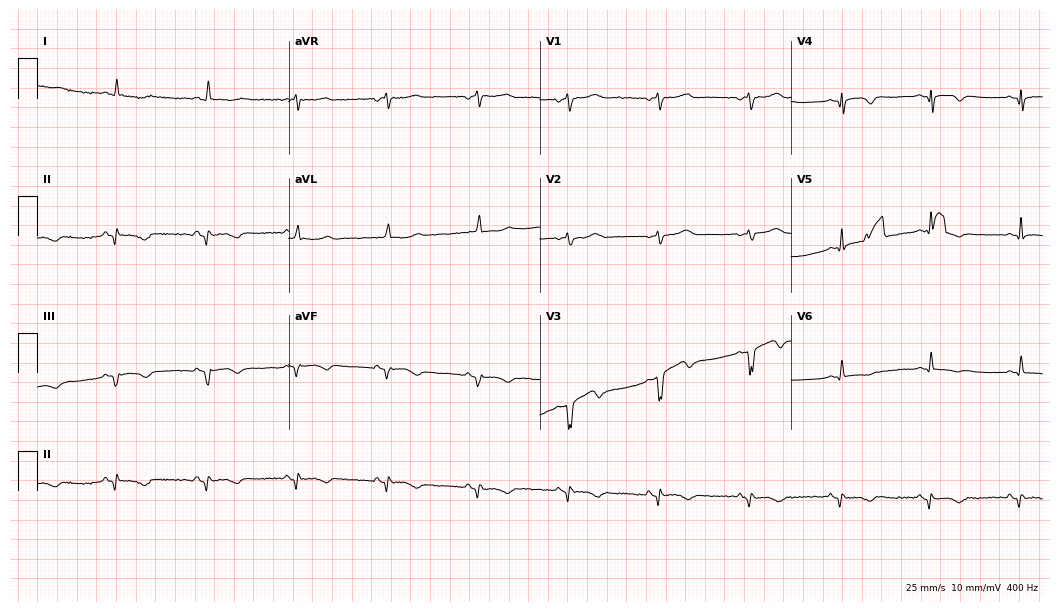
ECG — a 62-year-old man. Screened for six findings — first-degree AV block, right bundle branch block (RBBB), left bundle branch block (LBBB), sinus bradycardia, atrial fibrillation (AF), sinus tachycardia — none is recorded.